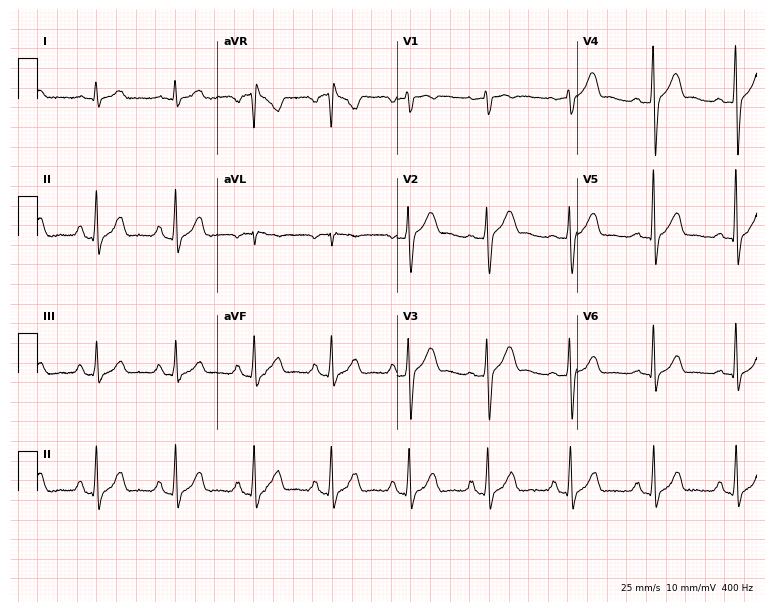
12-lead ECG from a 57-year-old male (7.3-second recording at 400 Hz). No first-degree AV block, right bundle branch block, left bundle branch block, sinus bradycardia, atrial fibrillation or sinus tachycardia recorded for this tracing.